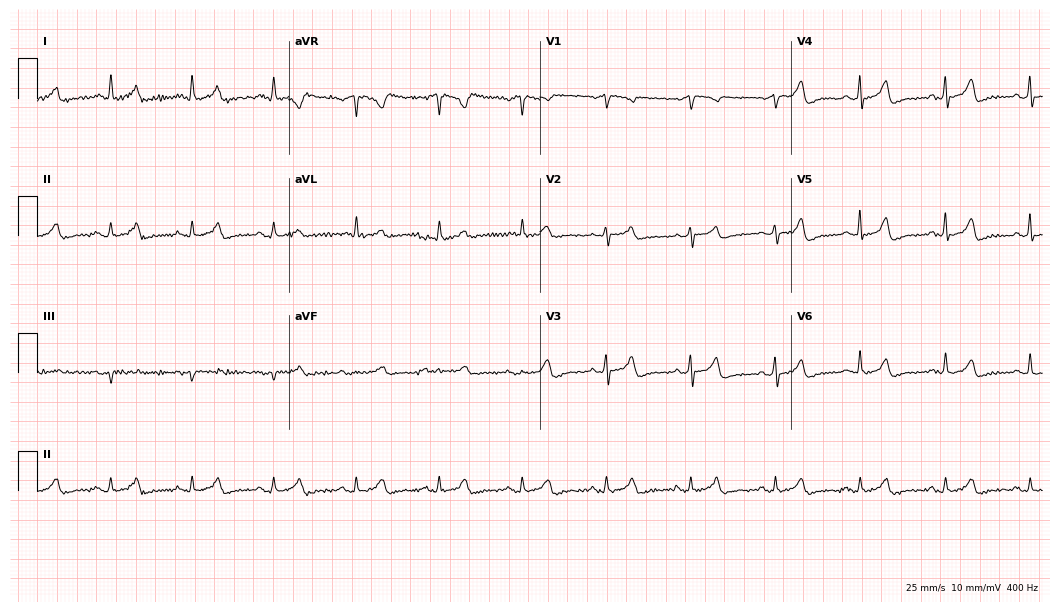
Electrocardiogram (10.2-second recording at 400 Hz), a 68-year-old woman. Of the six screened findings (first-degree AV block, right bundle branch block, left bundle branch block, sinus bradycardia, atrial fibrillation, sinus tachycardia), none is recorded. Only these six findings were labelled.